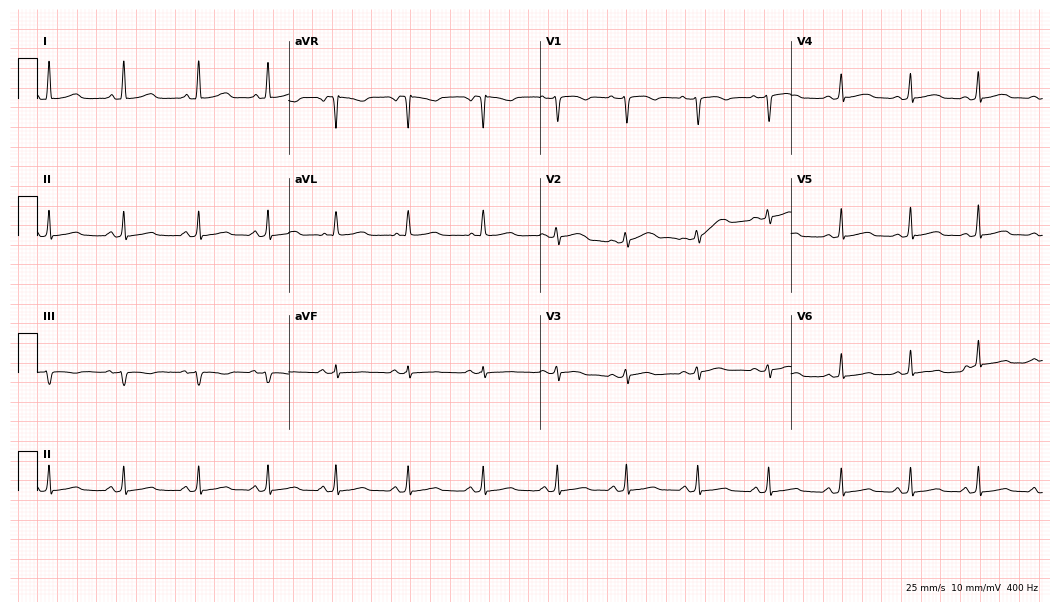
Resting 12-lead electrocardiogram (10.2-second recording at 400 Hz). Patient: a 37-year-old woman. None of these six findings is recorded: first-degree AV block, right bundle branch block, left bundle branch block, sinus bradycardia, atrial fibrillation, sinus tachycardia. Only these six findings were labelled.